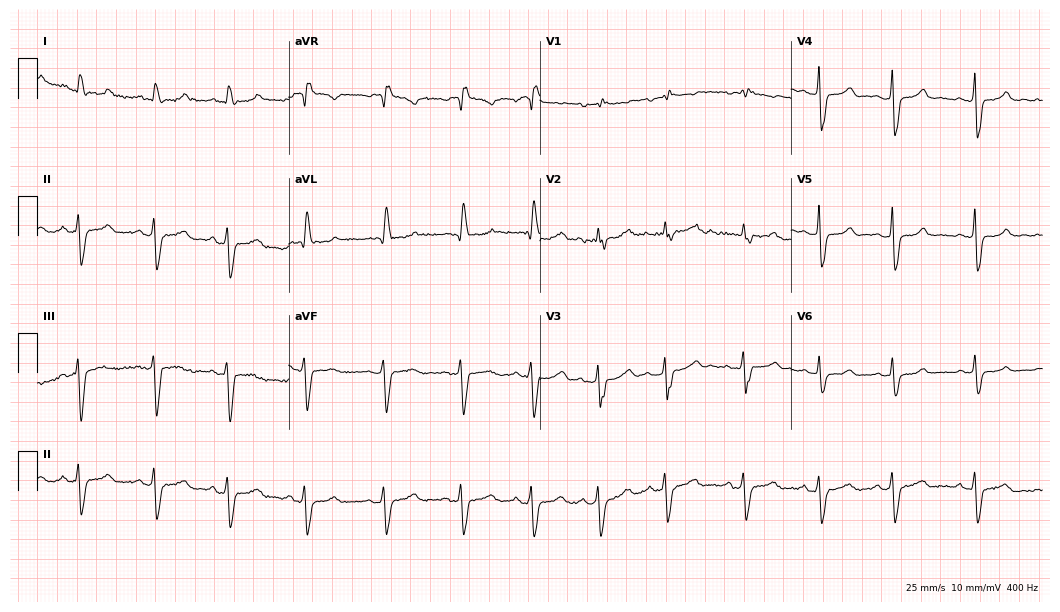
12-lead ECG from a 69-year-old female (10.2-second recording at 400 Hz). No first-degree AV block, right bundle branch block (RBBB), left bundle branch block (LBBB), sinus bradycardia, atrial fibrillation (AF) or sinus tachycardia recorded for this tracing.